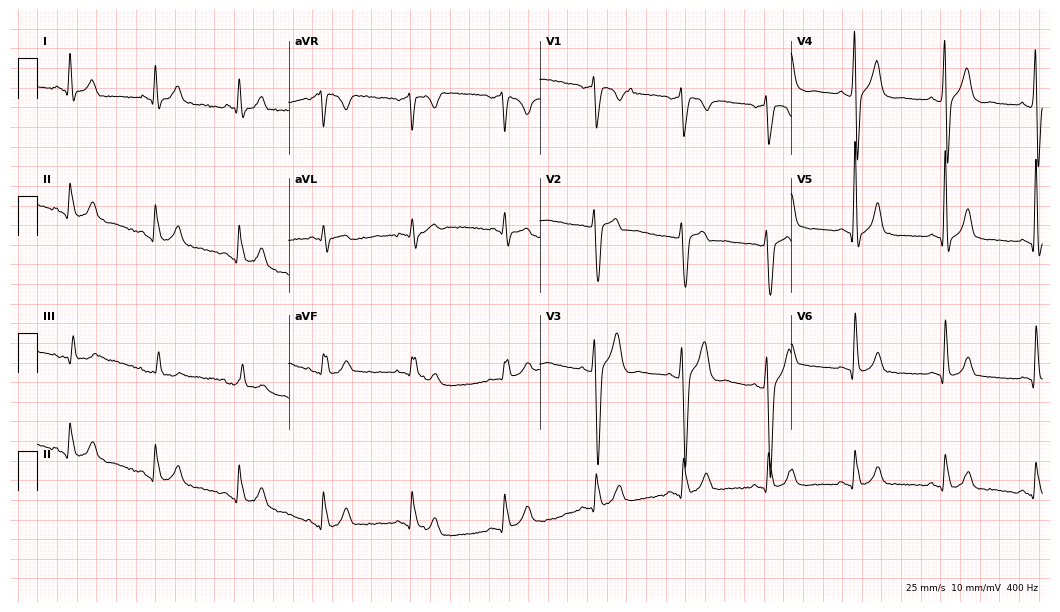
Resting 12-lead electrocardiogram. Patient: a man, 29 years old. None of these six findings is recorded: first-degree AV block, right bundle branch block (RBBB), left bundle branch block (LBBB), sinus bradycardia, atrial fibrillation (AF), sinus tachycardia.